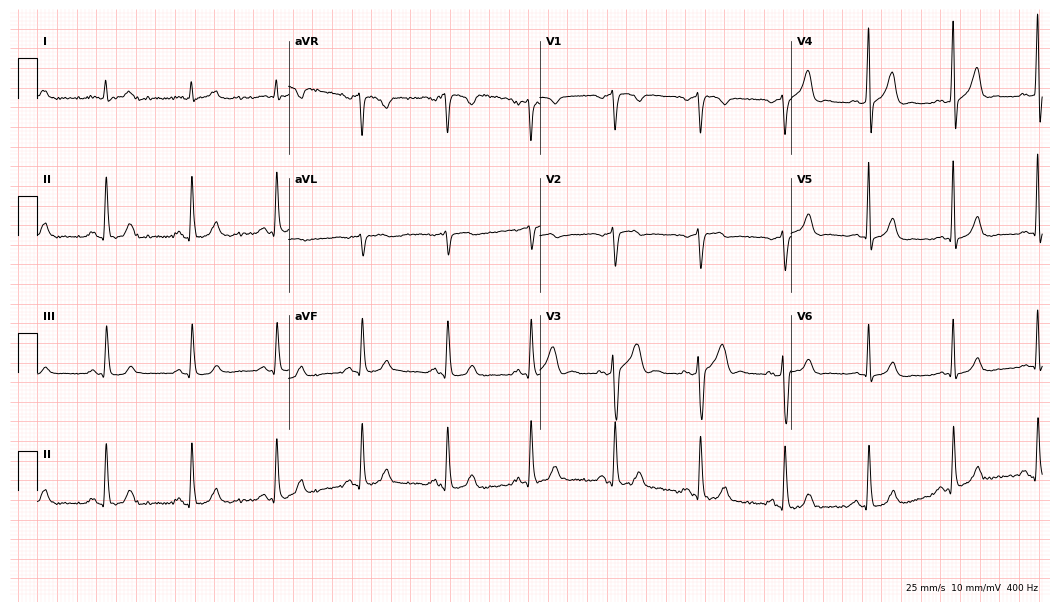
Electrocardiogram, a 63-year-old man. Overall reading on record: normal ECG.